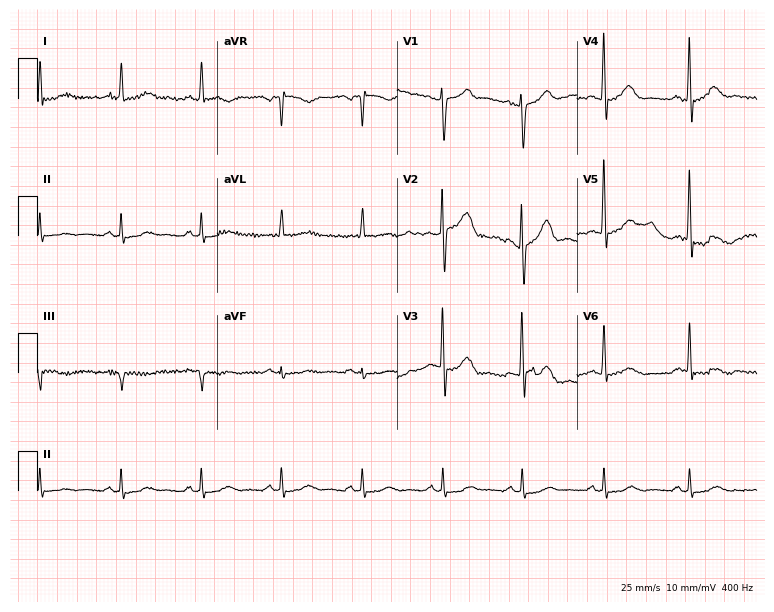
12-lead ECG from a 74-year-old male patient. No first-degree AV block, right bundle branch block (RBBB), left bundle branch block (LBBB), sinus bradycardia, atrial fibrillation (AF) or sinus tachycardia recorded for this tracing. Only these six findings were labelled.